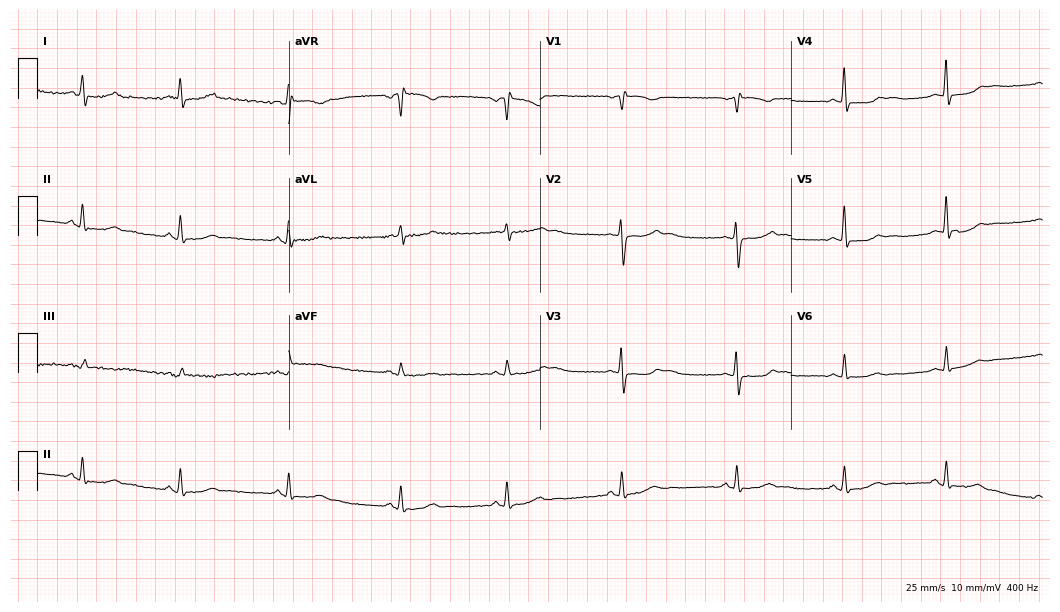
ECG — a 56-year-old female. Labelled as a normal ECG.